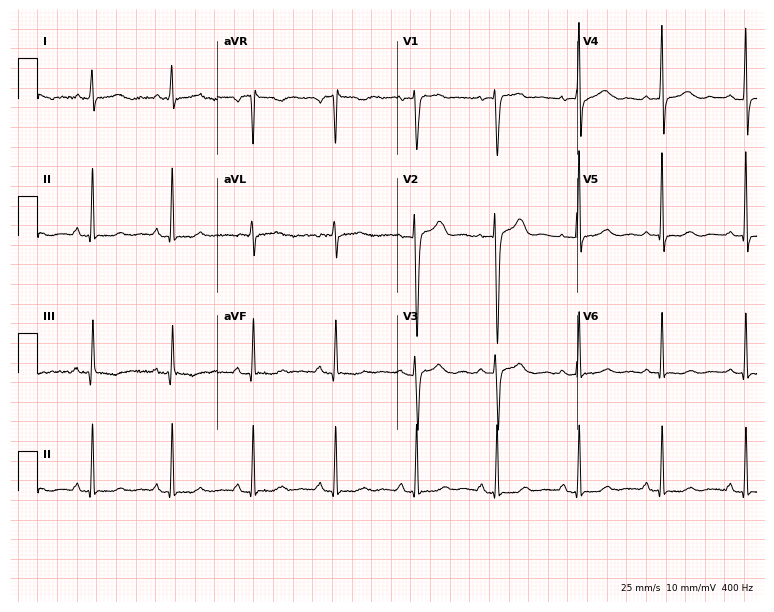
Standard 12-lead ECG recorded from a female patient, 63 years old. Read as a normal ECG.